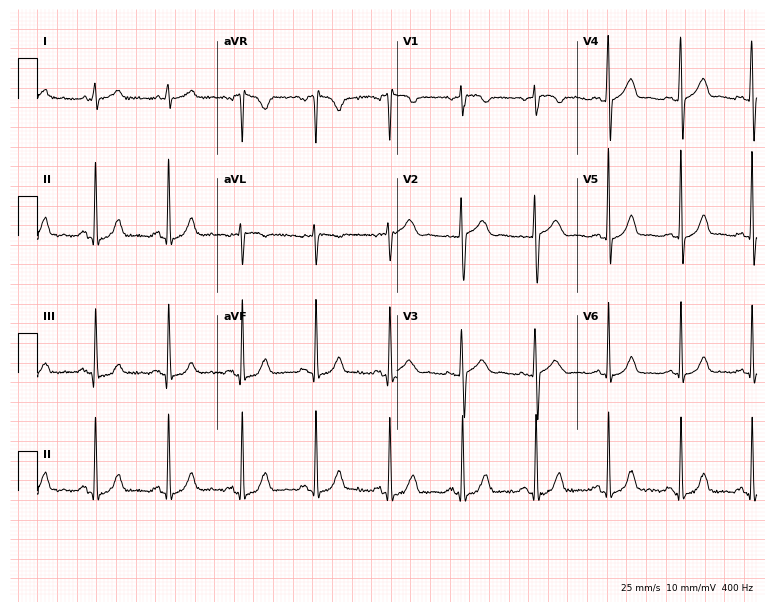
ECG (7.3-second recording at 400 Hz) — a 60-year-old female. Labelled as a normal ECG.